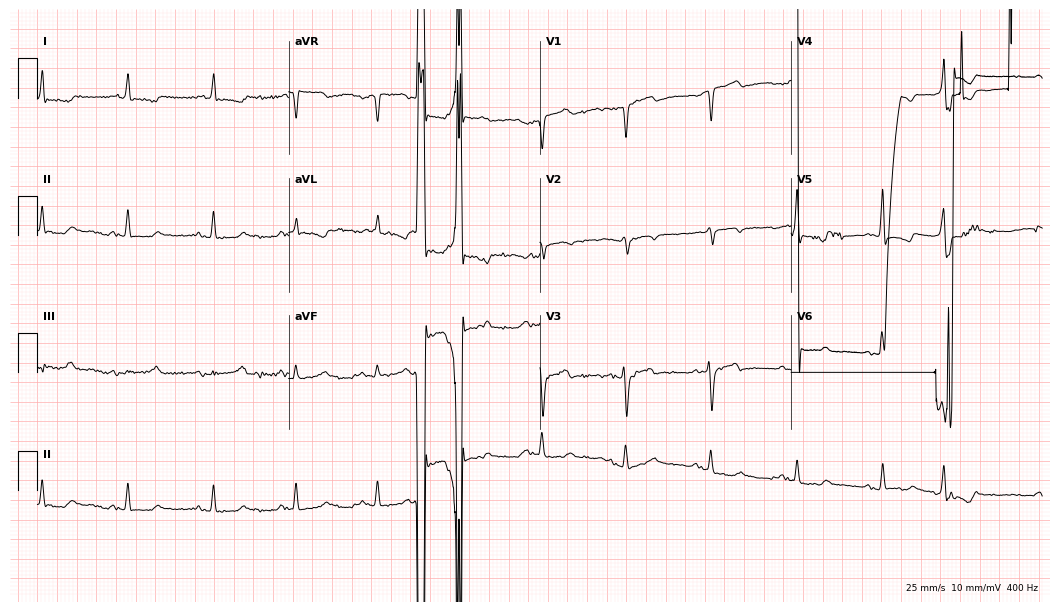
Resting 12-lead electrocardiogram. Patient: a woman, 72 years old. None of these six findings is recorded: first-degree AV block, right bundle branch block, left bundle branch block, sinus bradycardia, atrial fibrillation, sinus tachycardia.